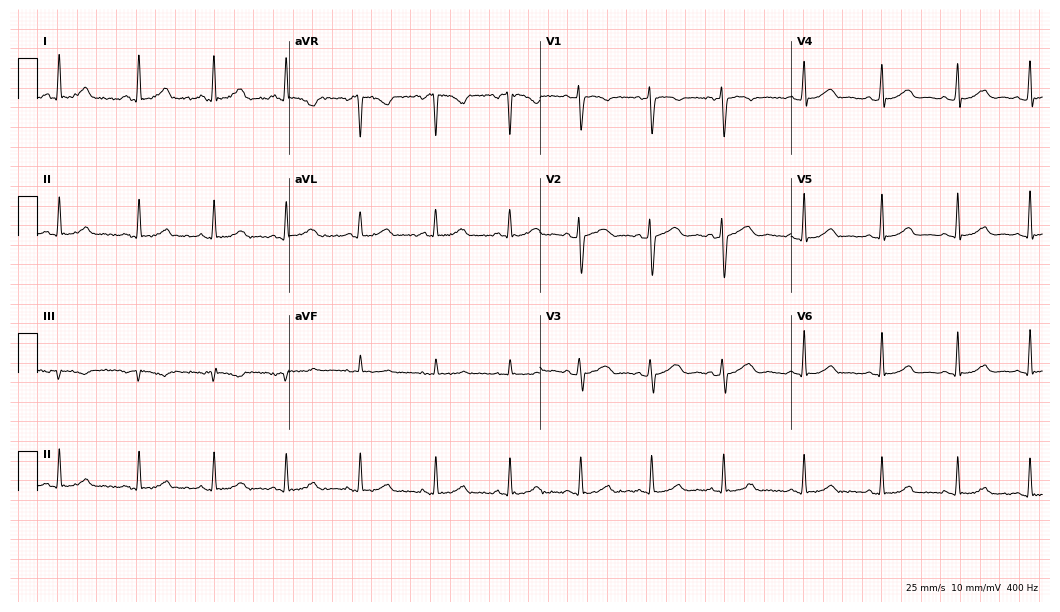
Electrocardiogram, a 36-year-old woman. Overall reading on record: normal ECG.